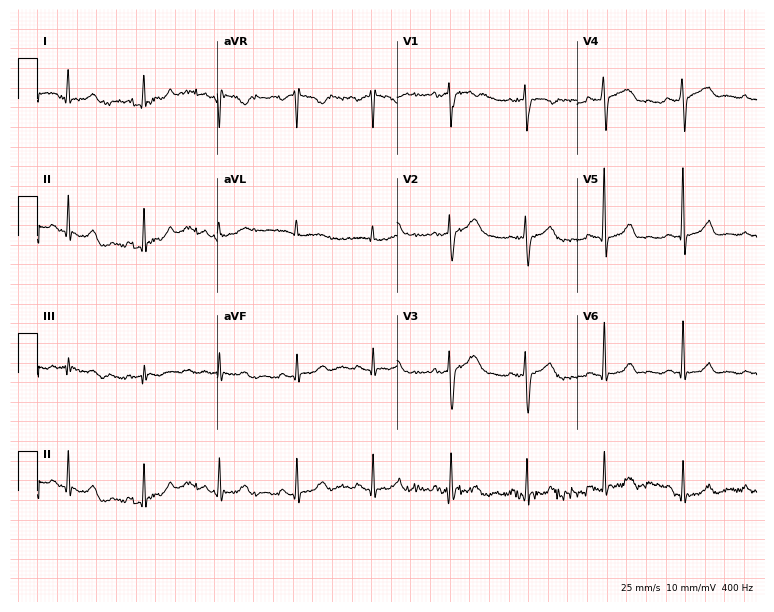
Standard 12-lead ECG recorded from a 39-year-old woman (7.3-second recording at 400 Hz). Read as a normal ECG.